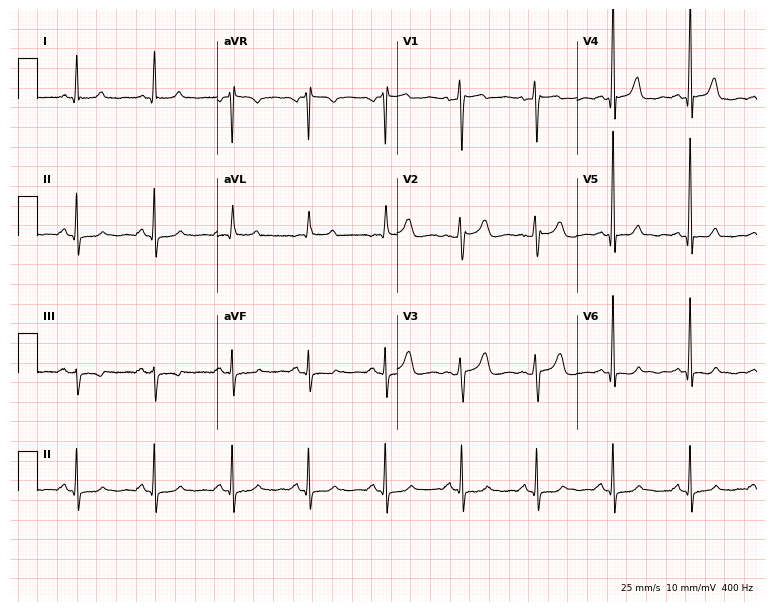
ECG — a 45-year-old female. Screened for six findings — first-degree AV block, right bundle branch block, left bundle branch block, sinus bradycardia, atrial fibrillation, sinus tachycardia — none is recorded. Only these six findings were labelled.